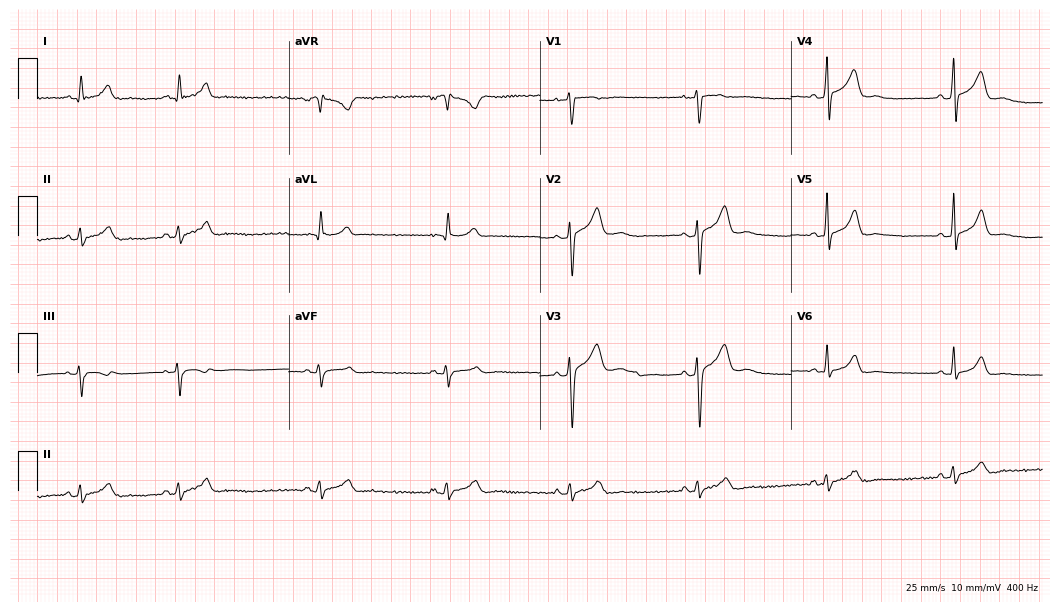
12-lead ECG from a 30-year-old male (10.2-second recording at 400 Hz). Recorded interpretation: within normal limits.